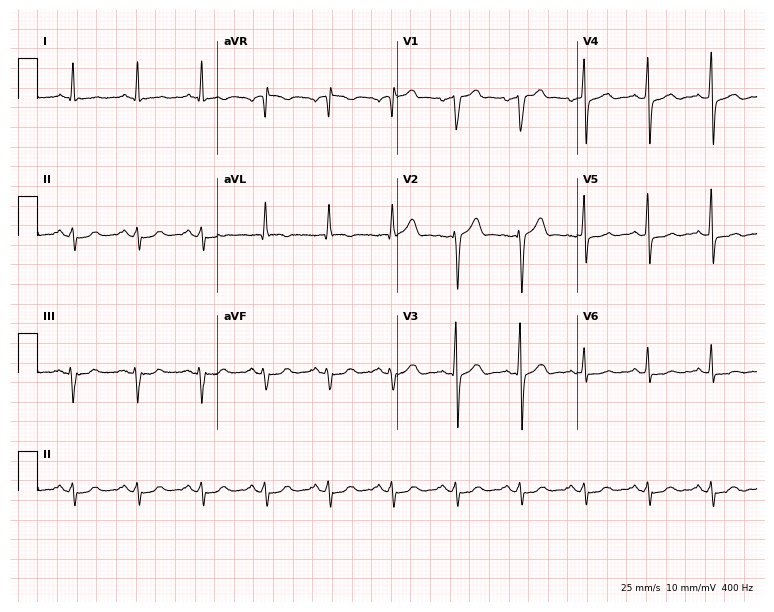
Resting 12-lead electrocardiogram (7.3-second recording at 400 Hz). Patient: a 63-year-old male. Read as a normal ECG.